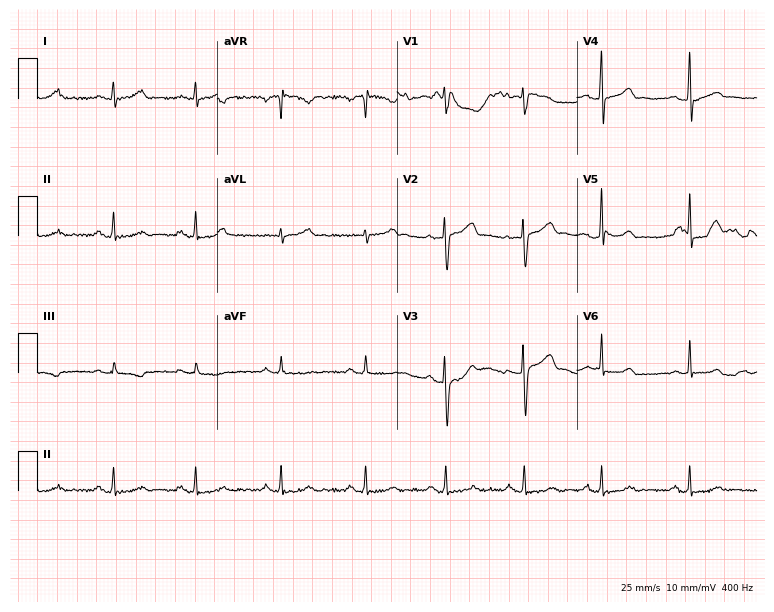
Electrocardiogram, a 42-year-old female patient. Overall reading on record: normal ECG.